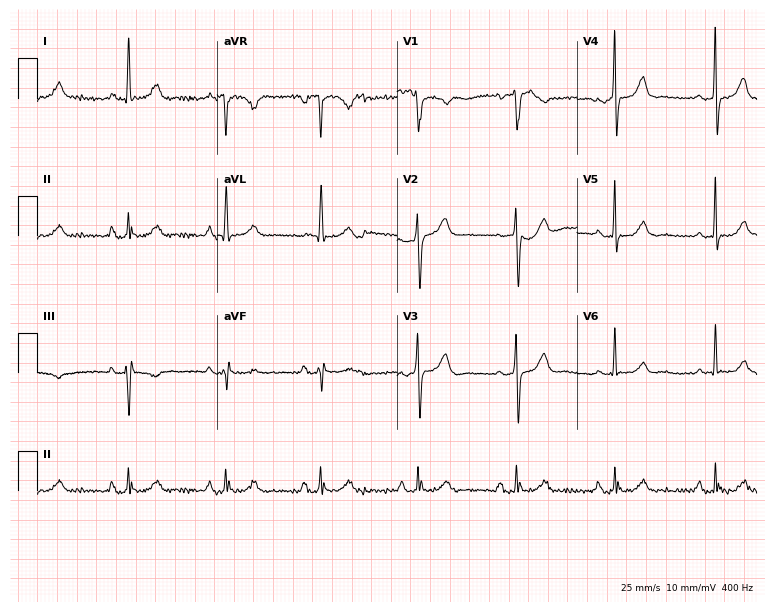
Electrocardiogram (7.3-second recording at 400 Hz), a 77-year-old man. Overall reading on record: normal ECG.